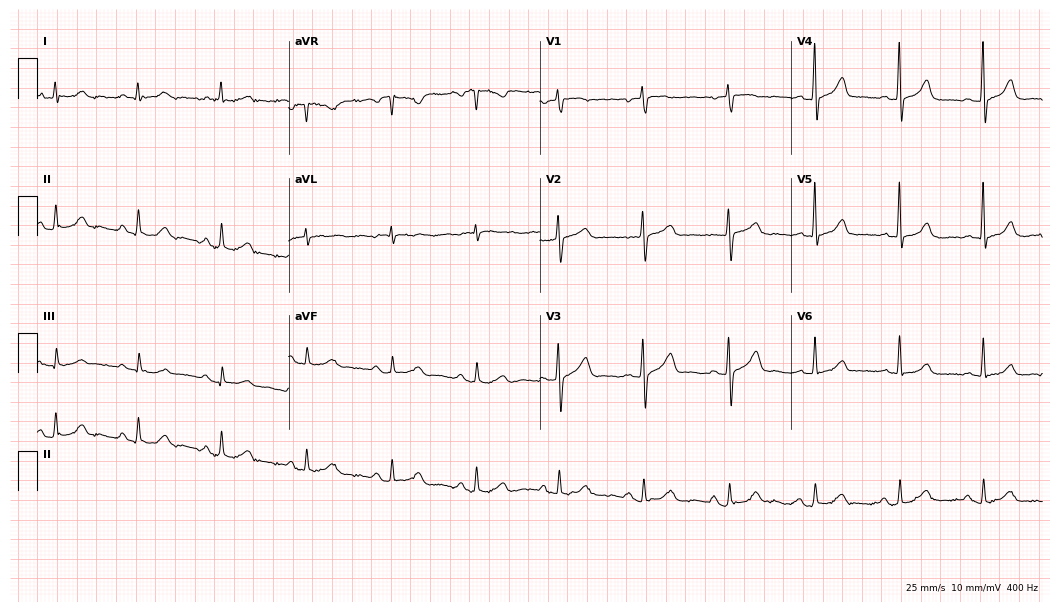
12-lead ECG (10.2-second recording at 400 Hz) from a female patient, 82 years old. Screened for six findings — first-degree AV block, right bundle branch block, left bundle branch block, sinus bradycardia, atrial fibrillation, sinus tachycardia — none is recorded. Other findings, if any, are not listed.